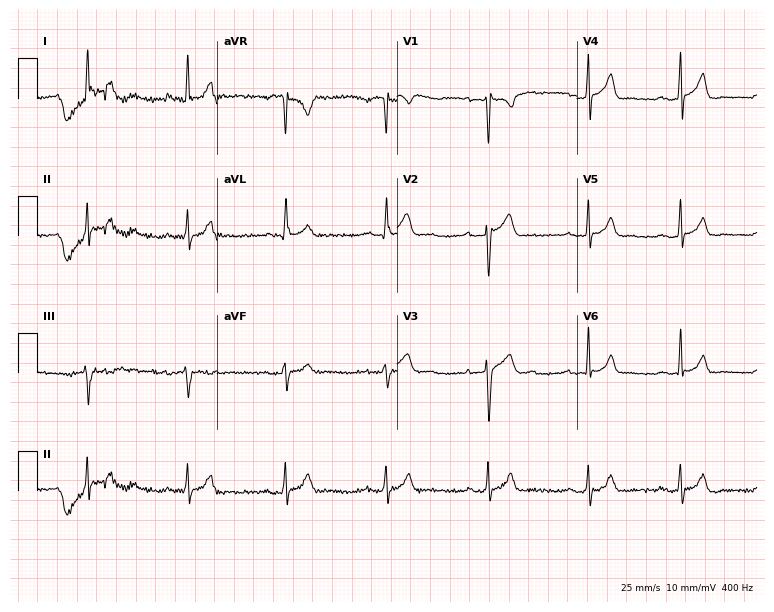
12-lead ECG from a male patient, 38 years old. Labelled as a normal ECG.